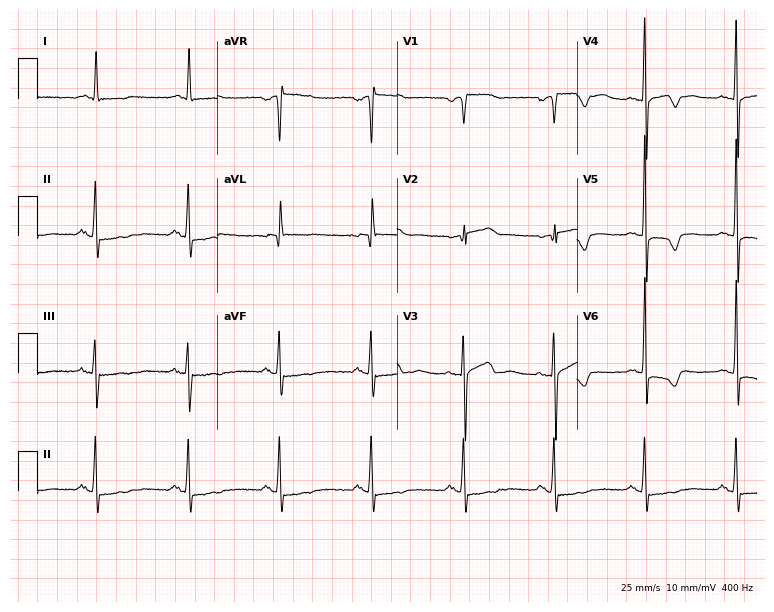
Standard 12-lead ECG recorded from a woman, 69 years old (7.3-second recording at 400 Hz). None of these six findings is recorded: first-degree AV block, right bundle branch block, left bundle branch block, sinus bradycardia, atrial fibrillation, sinus tachycardia. Only these six findings were labelled.